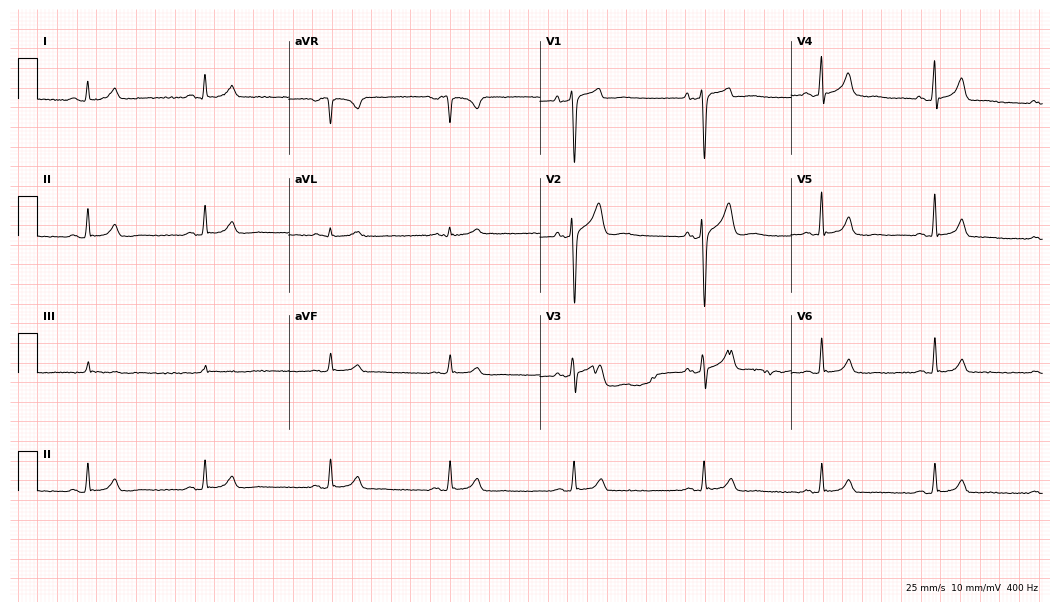
Electrocardiogram (10.2-second recording at 400 Hz), a male, 52 years old. Interpretation includes sinus bradycardia (a sinus rate of 50 beats per minute or less).